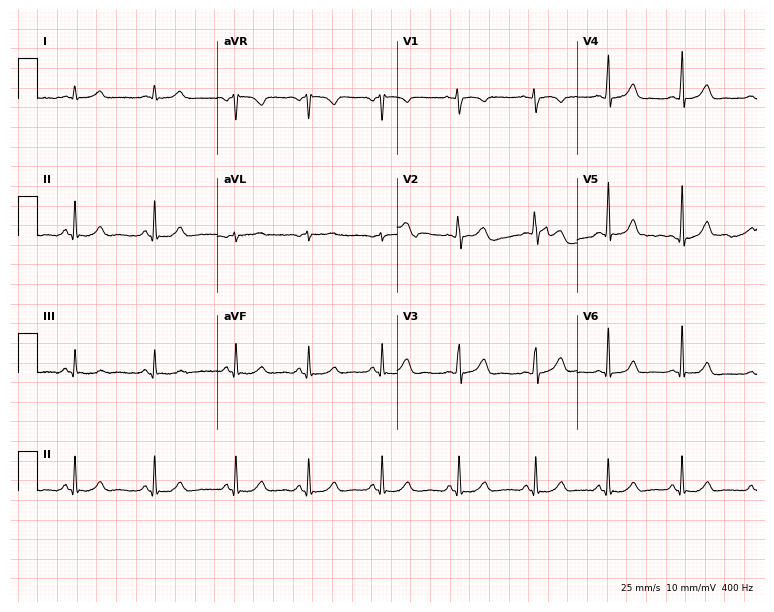
ECG — a woman, 27 years old. Screened for six findings — first-degree AV block, right bundle branch block (RBBB), left bundle branch block (LBBB), sinus bradycardia, atrial fibrillation (AF), sinus tachycardia — none is recorded.